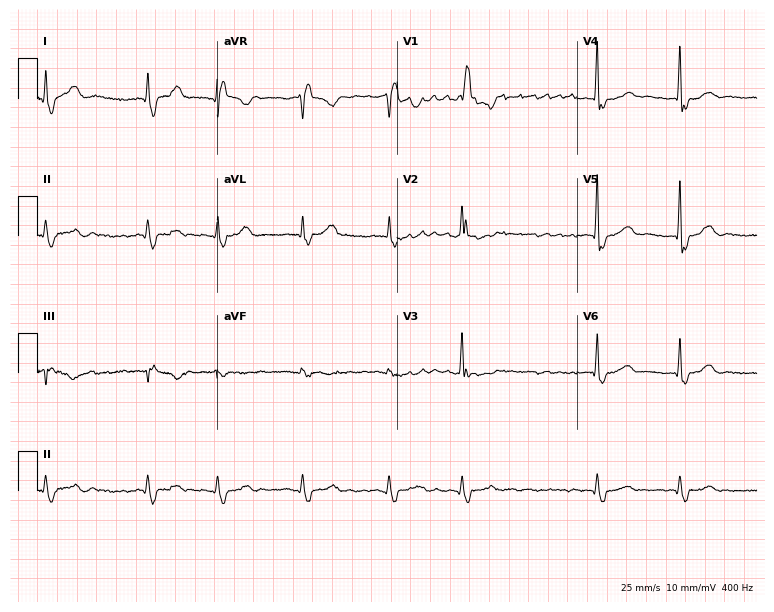
12-lead ECG from a female, 81 years old. Shows right bundle branch block, atrial fibrillation.